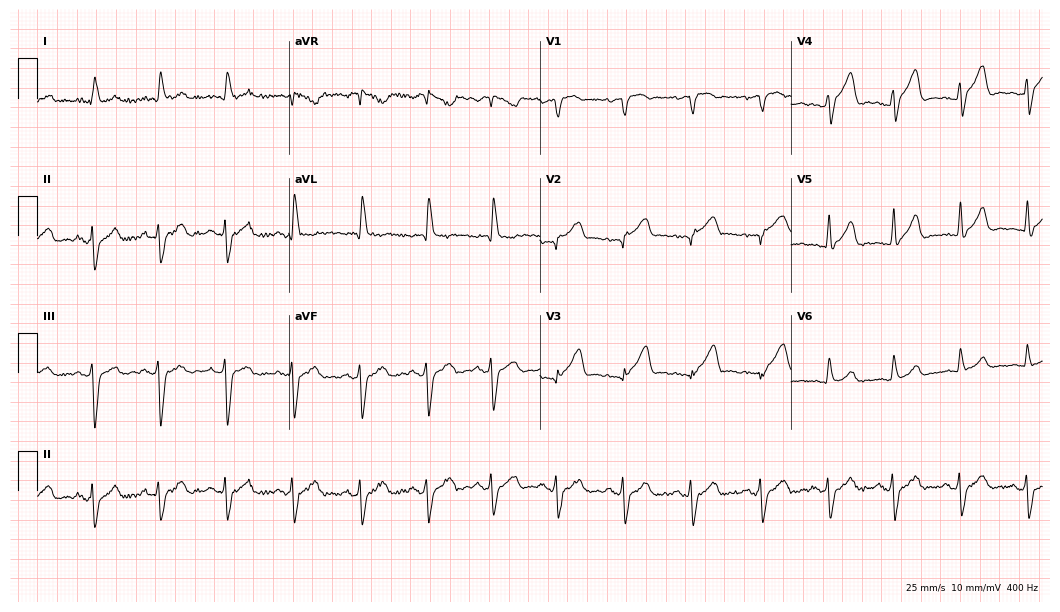
ECG — a 78-year-old male patient. Screened for six findings — first-degree AV block, right bundle branch block, left bundle branch block, sinus bradycardia, atrial fibrillation, sinus tachycardia — none is recorded. Only these six findings were labelled.